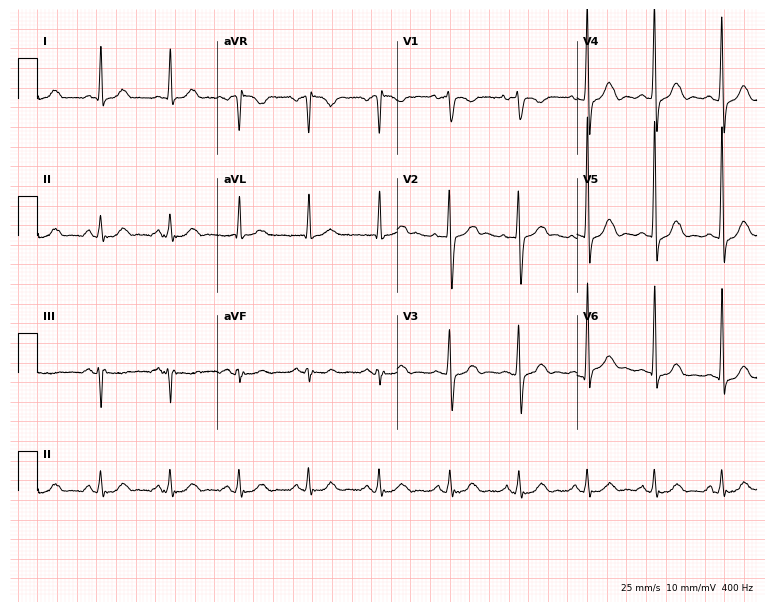
12-lead ECG from a man, 63 years old. Labelled as a normal ECG.